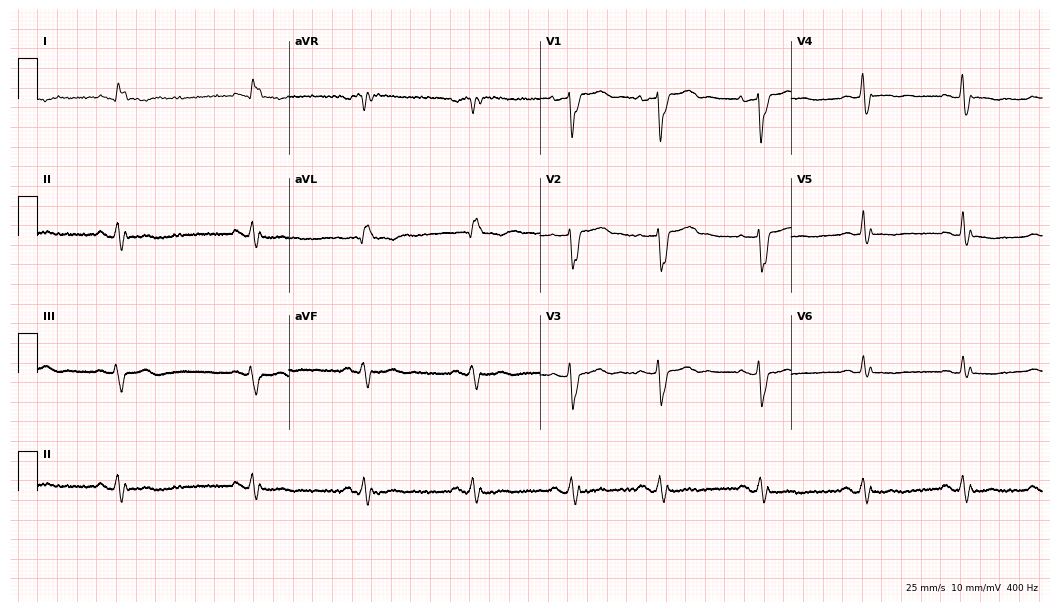
12-lead ECG from an 82-year-old female. Shows left bundle branch block.